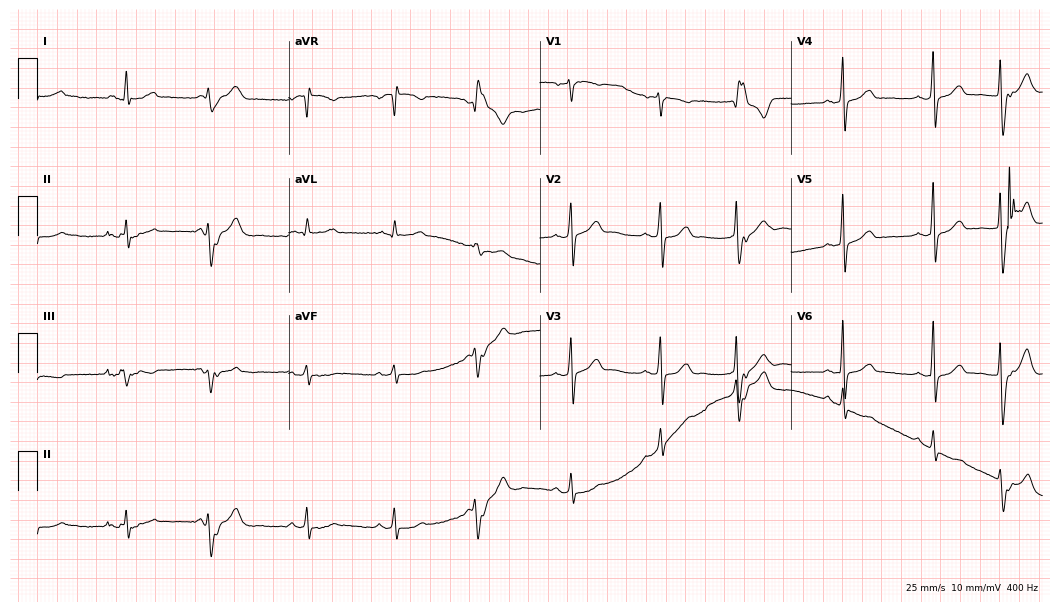
Electrocardiogram, a 57-year-old man. Of the six screened findings (first-degree AV block, right bundle branch block (RBBB), left bundle branch block (LBBB), sinus bradycardia, atrial fibrillation (AF), sinus tachycardia), none is recorded.